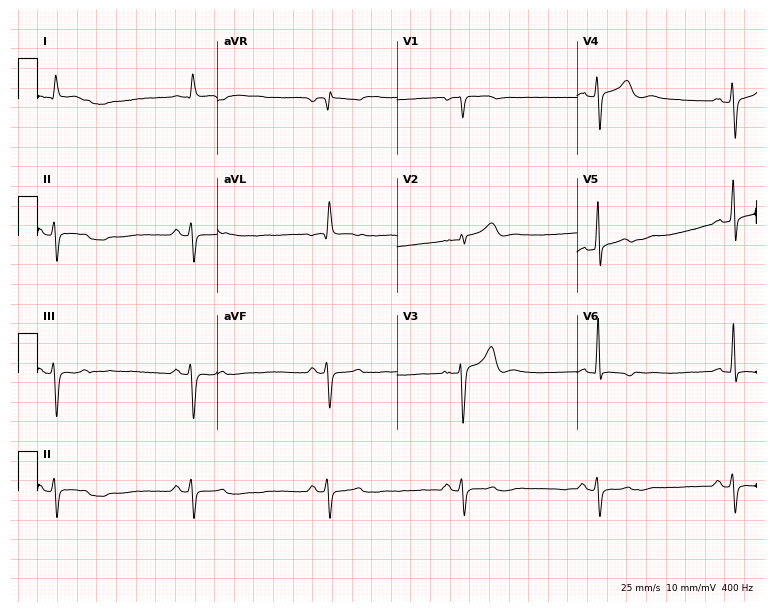
12-lead ECG from a male patient, 73 years old (7.3-second recording at 400 Hz). Shows sinus bradycardia (a sinus rate of 50 beats per minute or less).